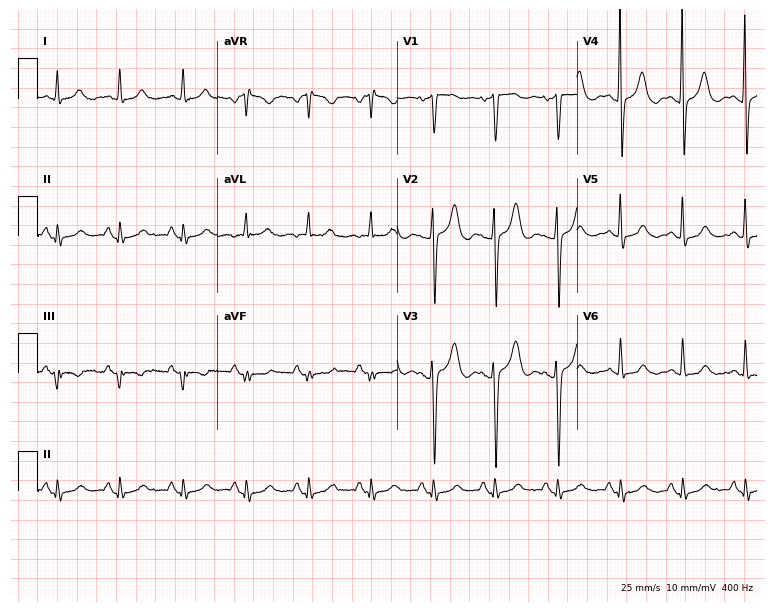
12-lead ECG from a woman, 72 years old (7.3-second recording at 400 Hz). No first-degree AV block, right bundle branch block, left bundle branch block, sinus bradycardia, atrial fibrillation or sinus tachycardia recorded for this tracing.